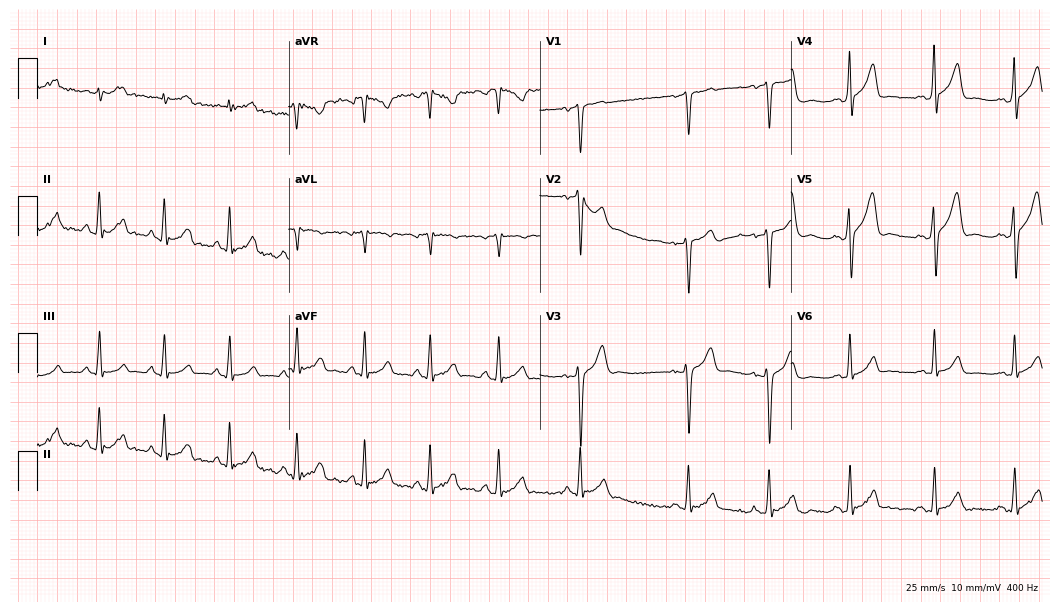
Resting 12-lead electrocardiogram. Patient: a male, 29 years old. None of these six findings is recorded: first-degree AV block, right bundle branch block, left bundle branch block, sinus bradycardia, atrial fibrillation, sinus tachycardia. Only these six findings were labelled.